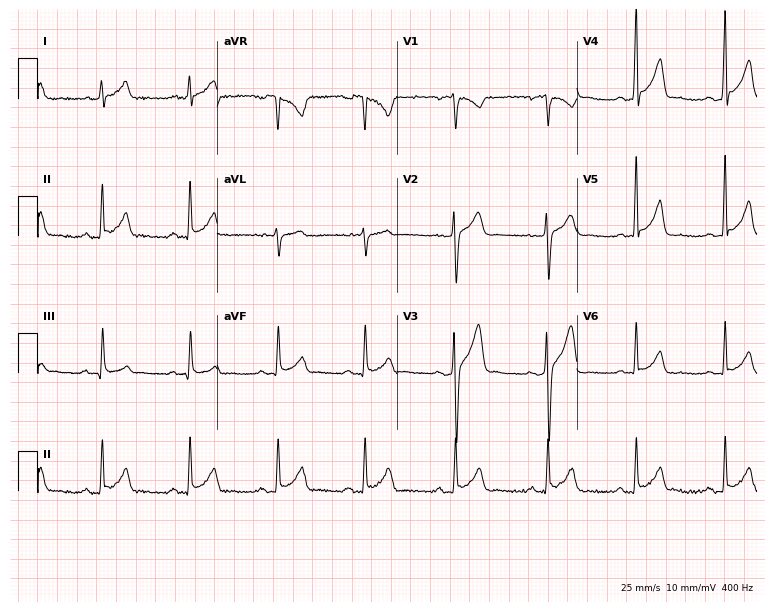
12-lead ECG from a man, 29 years old. Screened for six findings — first-degree AV block, right bundle branch block (RBBB), left bundle branch block (LBBB), sinus bradycardia, atrial fibrillation (AF), sinus tachycardia — none is recorded. Findings outside these six are not listed.